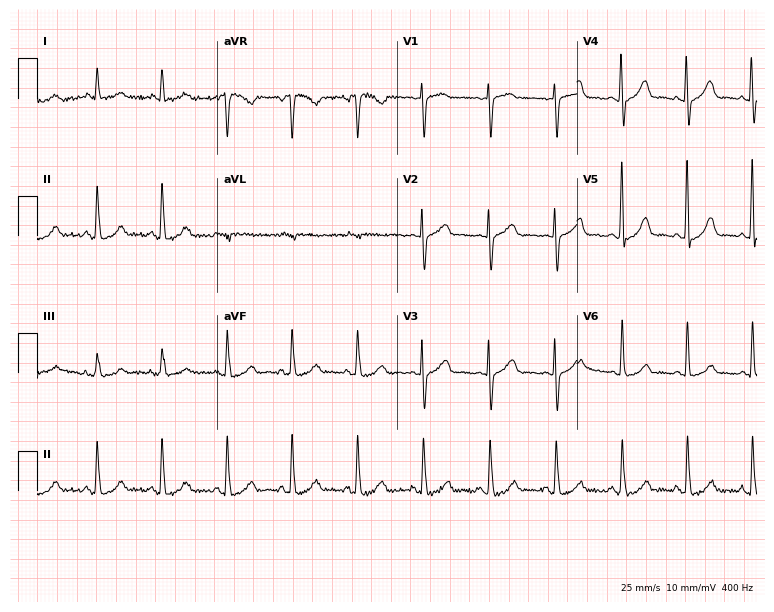
Electrocardiogram (7.3-second recording at 400 Hz), a 79-year-old female. Overall reading on record: normal ECG.